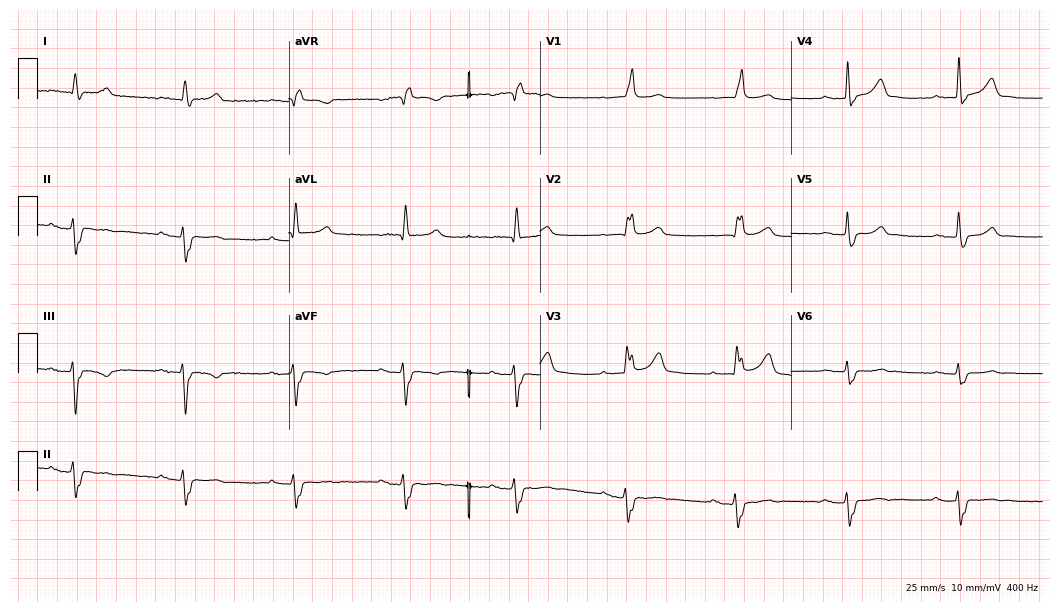
Standard 12-lead ECG recorded from an 80-year-old male patient (10.2-second recording at 400 Hz). The tracing shows first-degree AV block, right bundle branch block (RBBB).